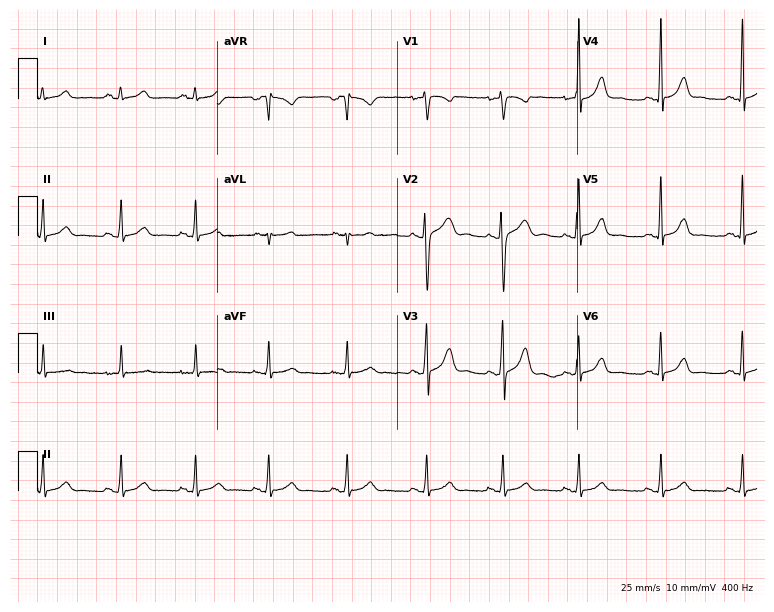
12-lead ECG from a female, 22 years old. Screened for six findings — first-degree AV block, right bundle branch block (RBBB), left bundle branch block (LBBB), sinus bradycardia, atrial fibrillation (AF), sinus tachycardia — none is recorded. Only these six findings were labelled.